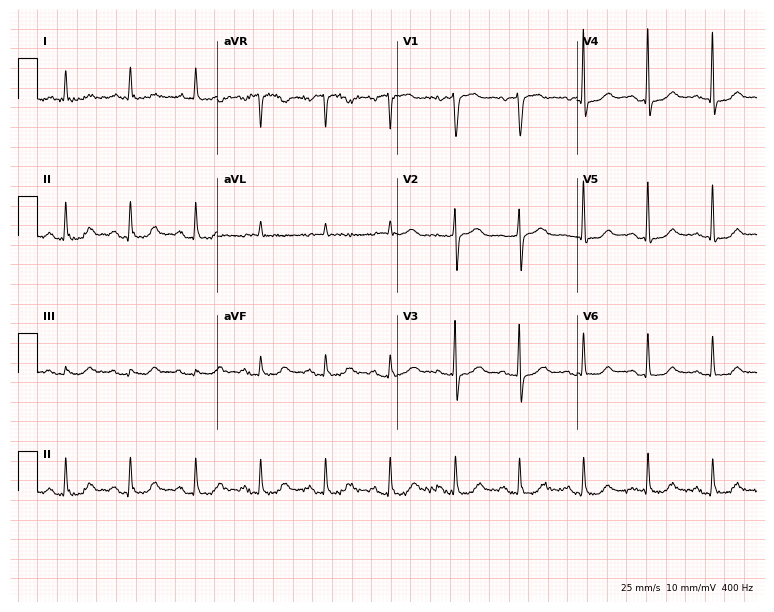
Resting 12-lead electrocardiogram (7.3-second recording at 400 Hz). Patient: a male, 69 years old. Read as a normal ECG.